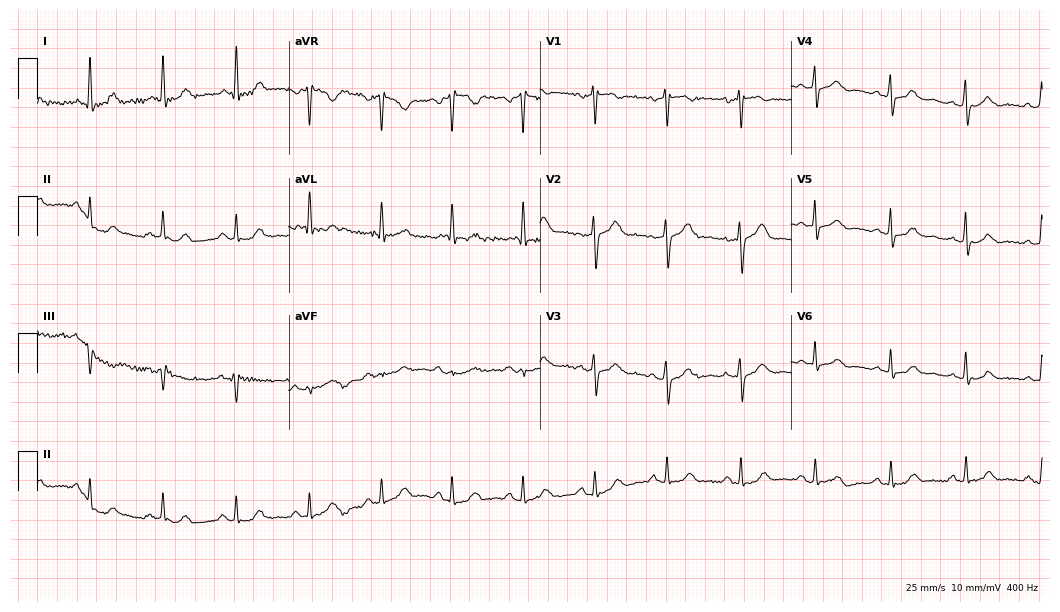
12-lead ECG from a 56-year-old female patient. Labelled as a normal ECG.